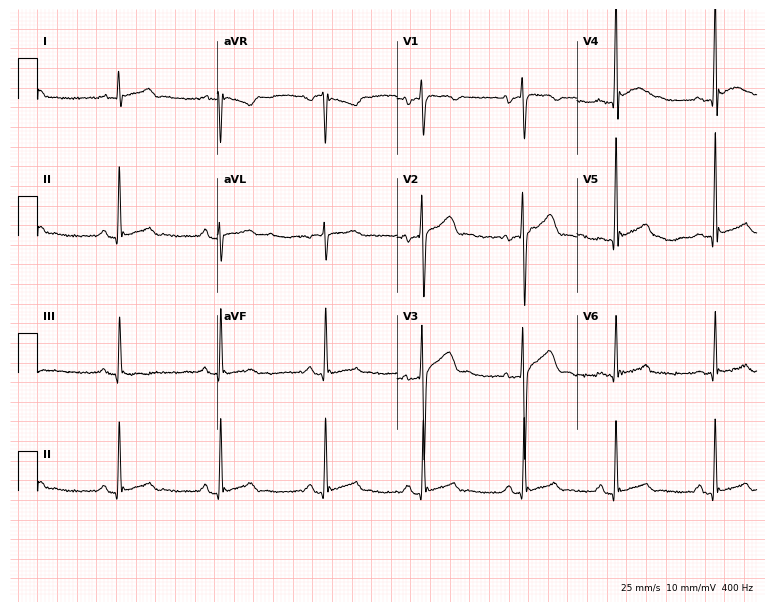
ECG (7.3-second recording at 400 Hz) — a male patient, 17 years old. Labelled as a normal ECG.